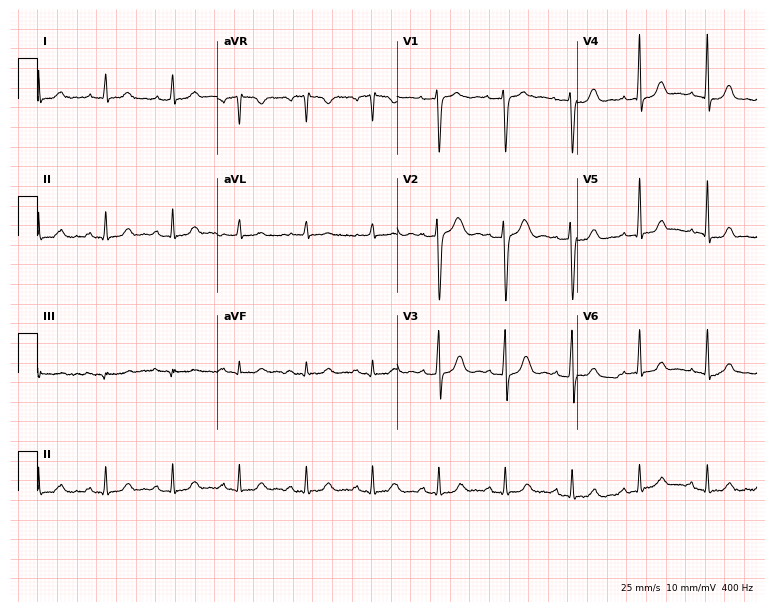
Standard 12-lead ECG recorded from a 42-year-old female patient. Read as a normal ECG.